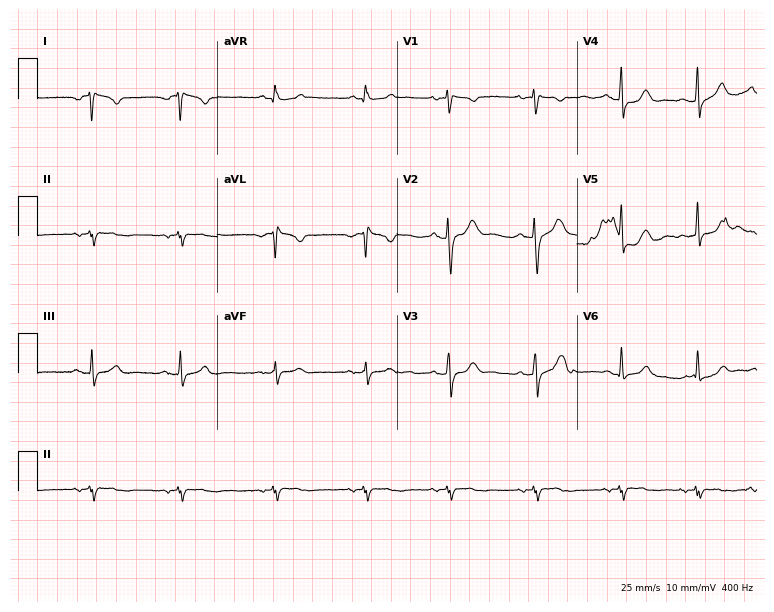
12-lead ECG from a female patient, 30 years old. No first-degree AV block, right bundle branch block, left bundle branch block, sinus bradycardia, atrial fibrillation or sinus tachycardia recorded for this tracing. Other findings, if any, are not listed.